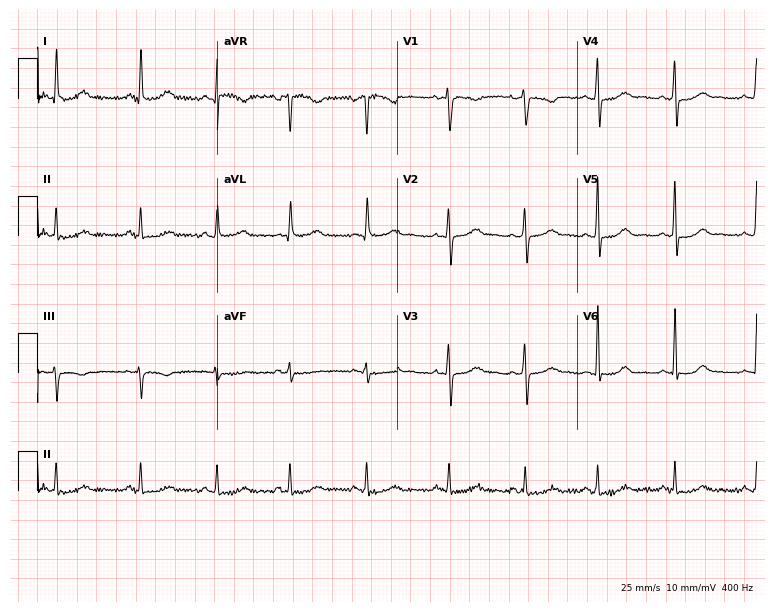
Resting 12-lead electrocardiogram (7.3-second recording at 400 Hz). Patient: a 39-year-old female. Read as a normal ECG.